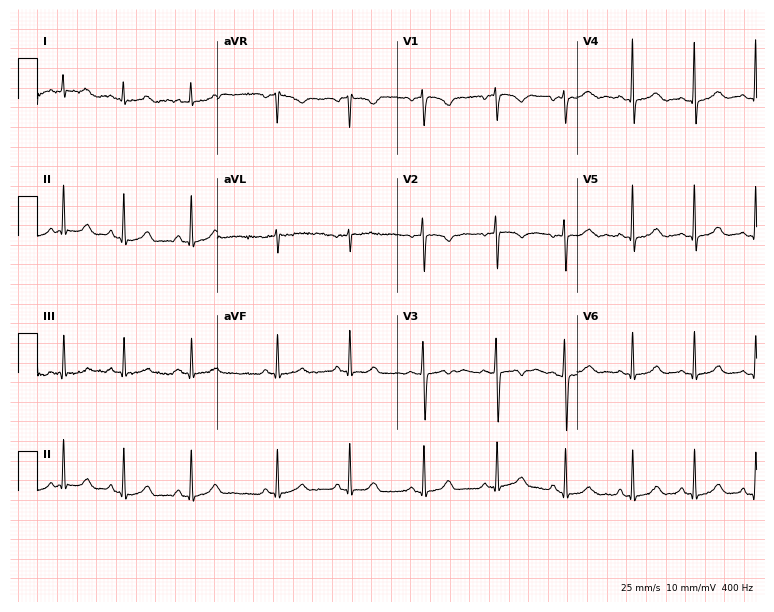
ECG (7.3-second recording at 400 Hz) — a 33-year-old woman. Screened for six findings — first-degree AV block, right bundle branch block, left bundle branch block, sinus bradycardia, atrial fibrillation, sinus tachycardia — none is recorded. Findings outside these six are not listed.